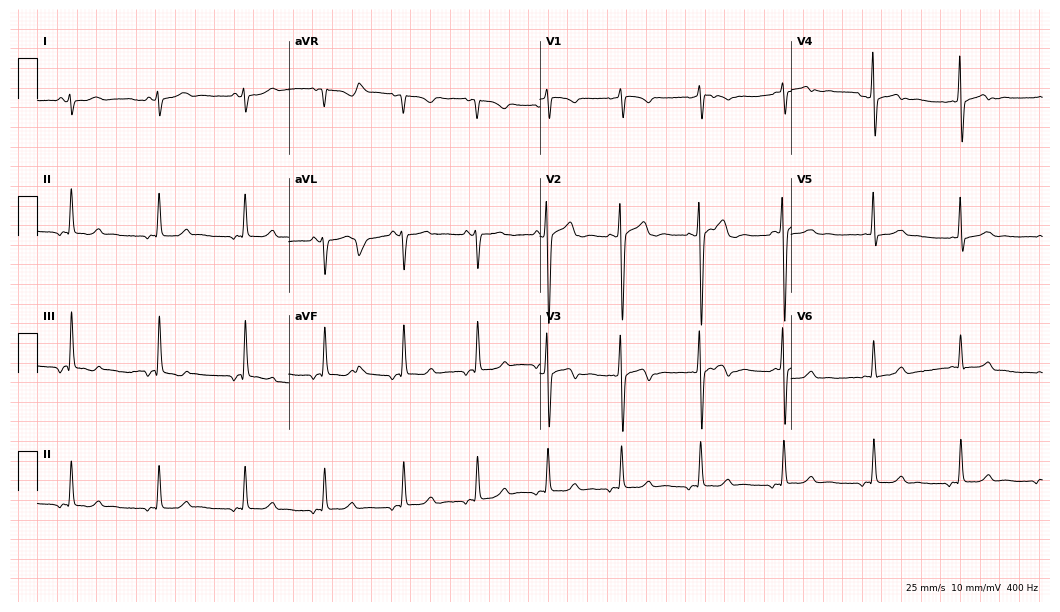
Resting 12-lead electrocardiogram (10.2-second recording at 400 Hz). Patient: a 30-year-old female. None of these six findings is recorded: first-degree AV block, right bundle branch block, left bundle branch block, sinus bradycardia, atrial fibrillation, sinus tachycardia.